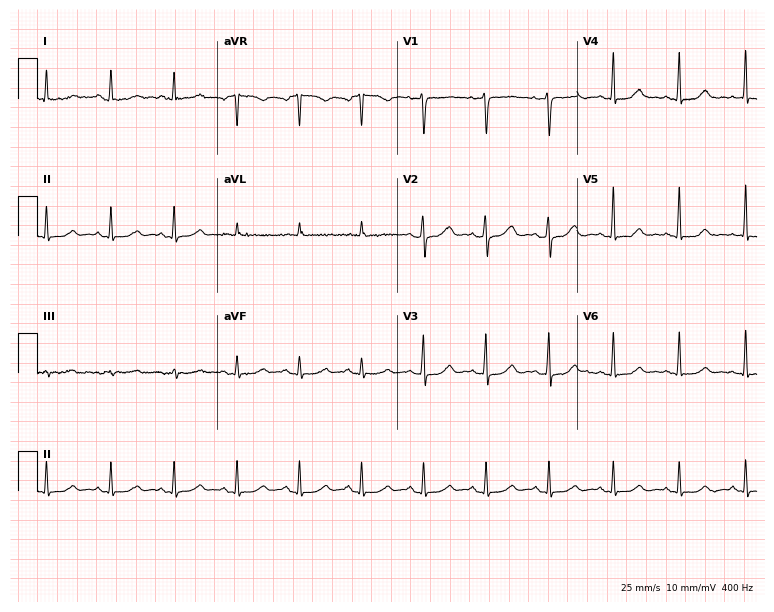
Electrocardiogram (7.3-second recording at 400 Hz), a woman, 37 years old. Overall reading on record: normal ECG.